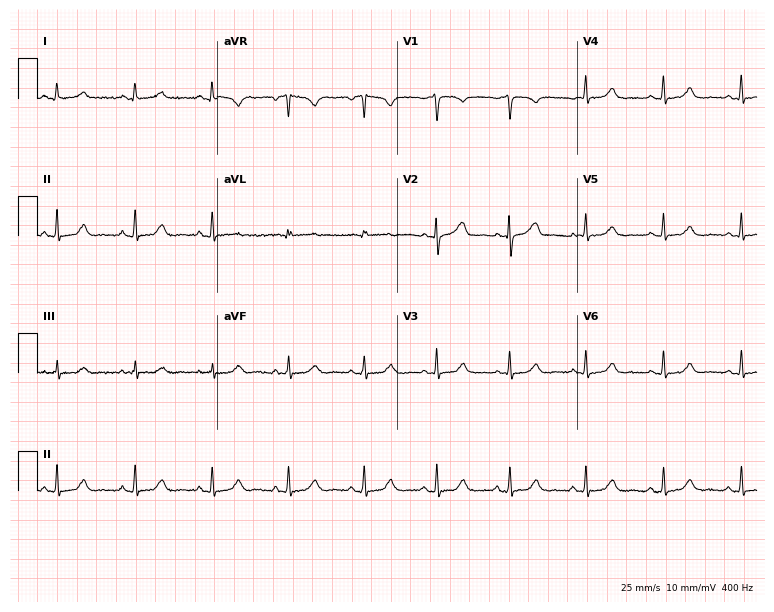
Electrocardiogram (7.3-second recording at 400 Hz), a female, 37 years old. Overall reading on record: normal ECG.